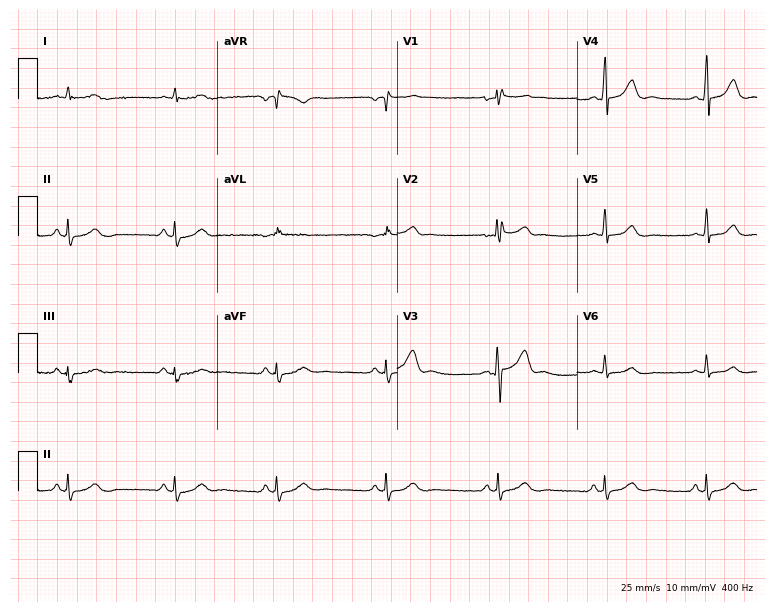
ECG — a 41-year-old man. Screened for six findings — first-degree AV block, right bundle branch block, left bundle branch block, sinus bradycardia, atrial fibrillation, sinus tachycardia — none is recorded.